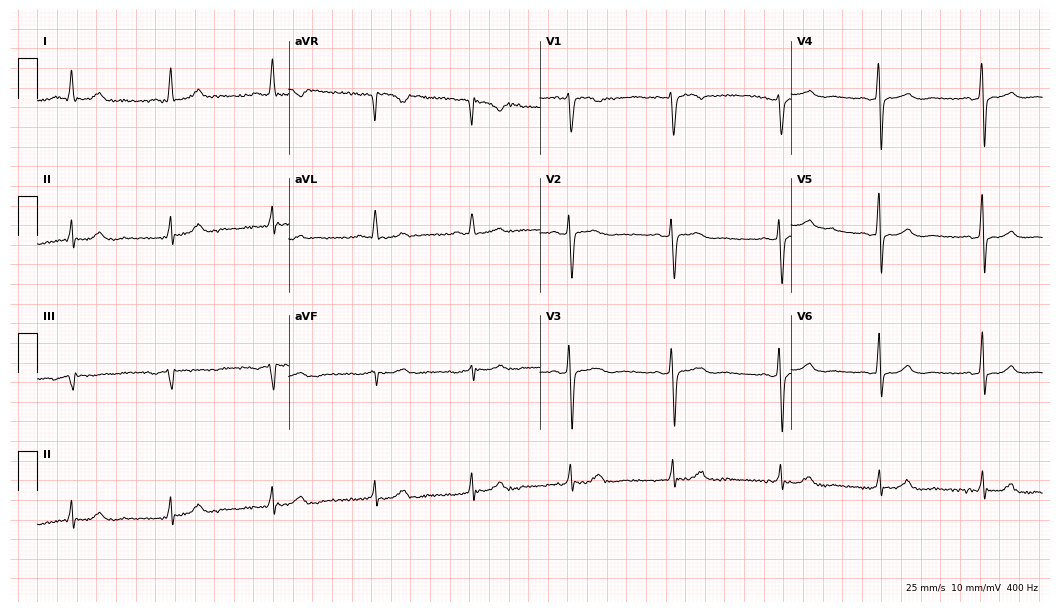
12-lead ECG from a 60-year-old female patient. Screened for six findings — first-degree AV block, right bundle branch block (RBBB), left bundle branch block (LBBB), sinus bradycardia, atrial fibrillation (AF), sinus tachycardia — none is recorded.